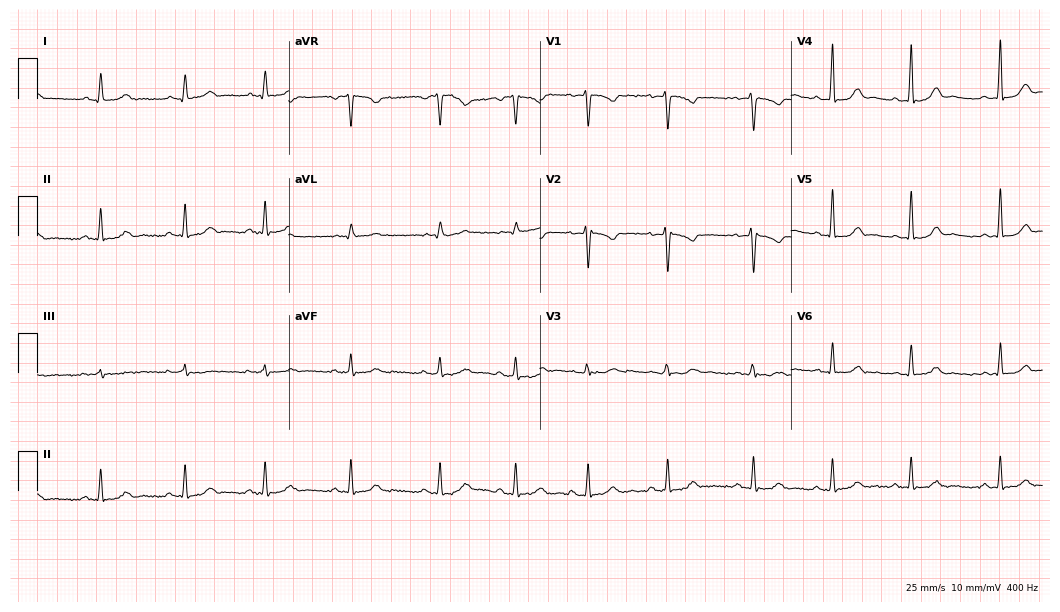
Resting 12-lead electrocardiogram. Patient: a female, 20 years old. None of these six findings is recorded: first-degree AV block, right bundle branch block (RBBB), left bundle branch block (LBBB), sinus bradycardia, atrial fibrillation (AF), sinus tachycardia.